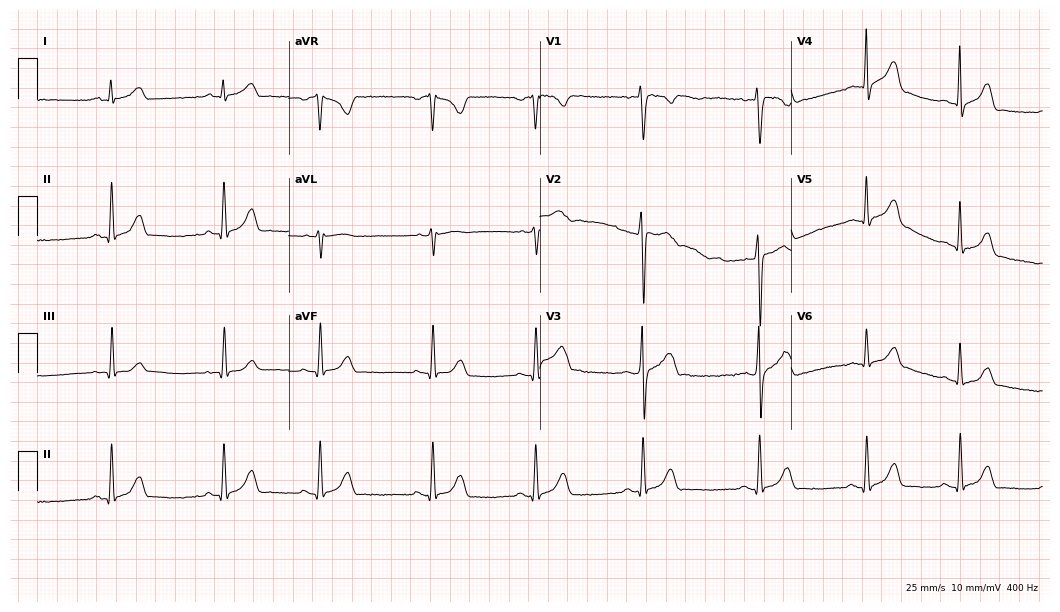
Resting 12-lead electrocardiogram. Patient: a male, 20 years old. Read as a normal ECG.